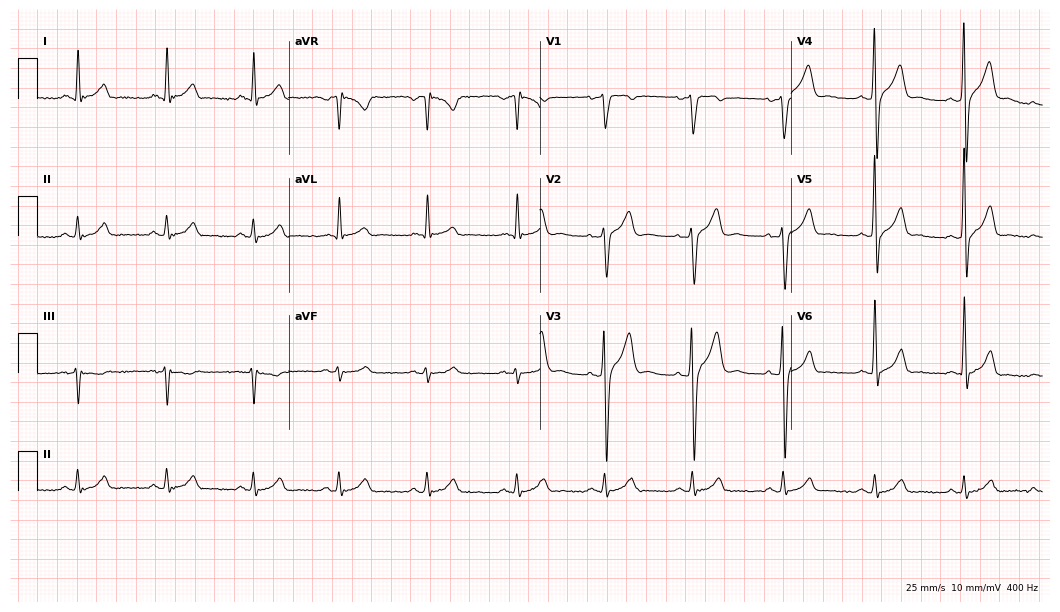
12-lead ECG from a 31-year-old man. Recorded interpretation: within normal limits.